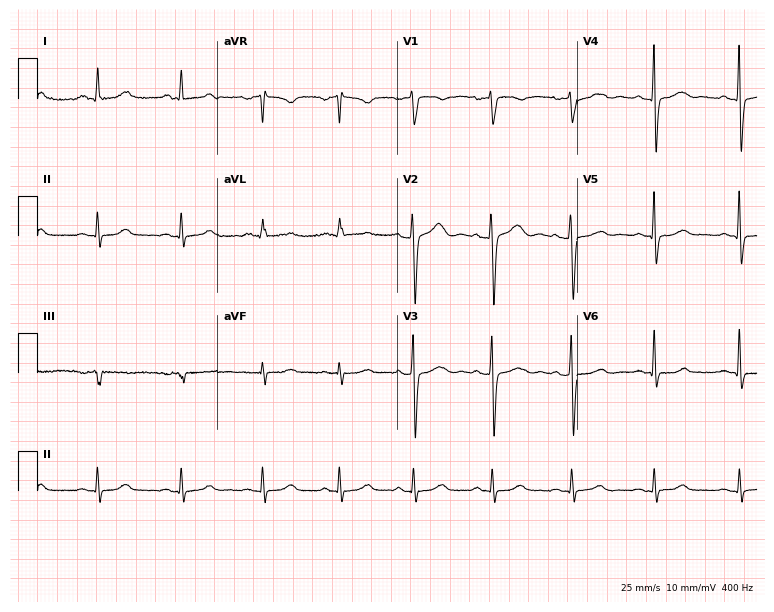
12-lead ECG from a 46-year-old female (7.3-second recording at 400 Hz). No first-degree AV block, right bundle branch block, left bundle branch block, sinus bradycardia, atrial fibrillation or sinus tachycardia recorded for this tracing. Other findings, if any, are not listed.